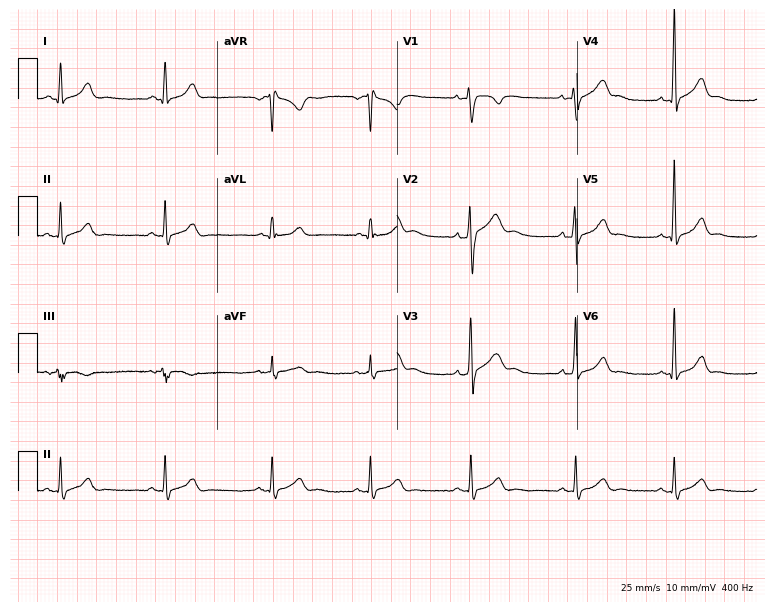
Electrocardiogram (7.3-second recording at 400 Hz), a man, 18 years old. Overall reading on record: normal ECG.